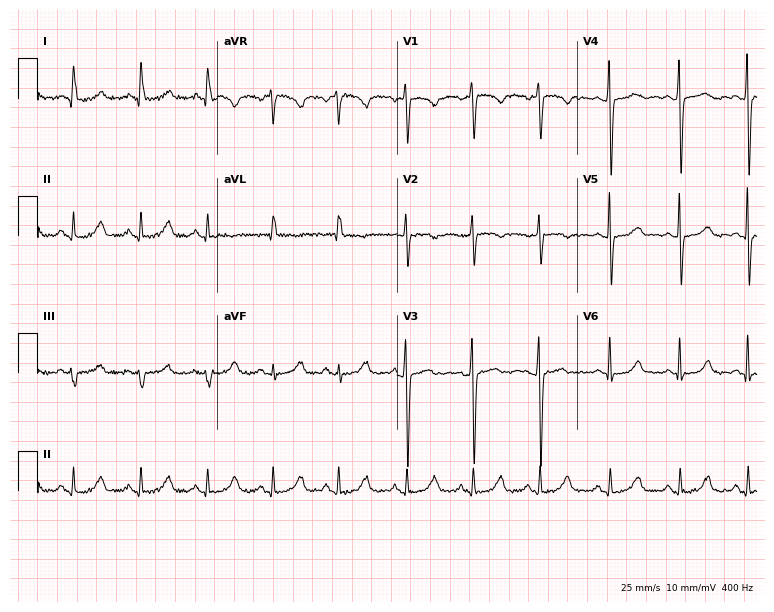
Resting 12-lead electrocardiogram (7.3-second recording at 400 Hz). Patient: a female, 48 years old. Read as a normal ECG.